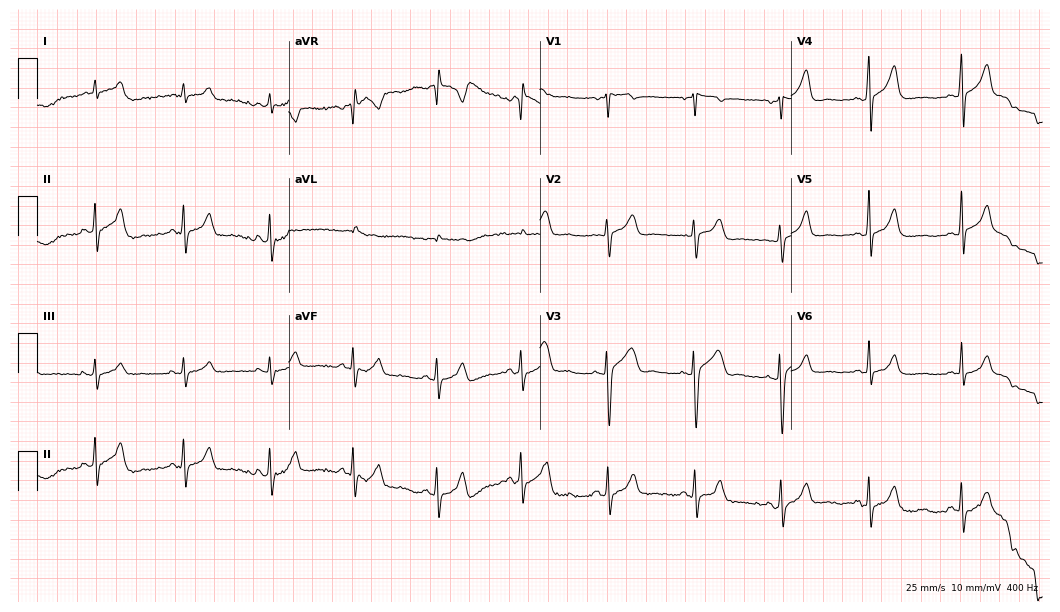
12-lead ECG from a 24-year-old male patient. Recorded interpretation: within normal limits.